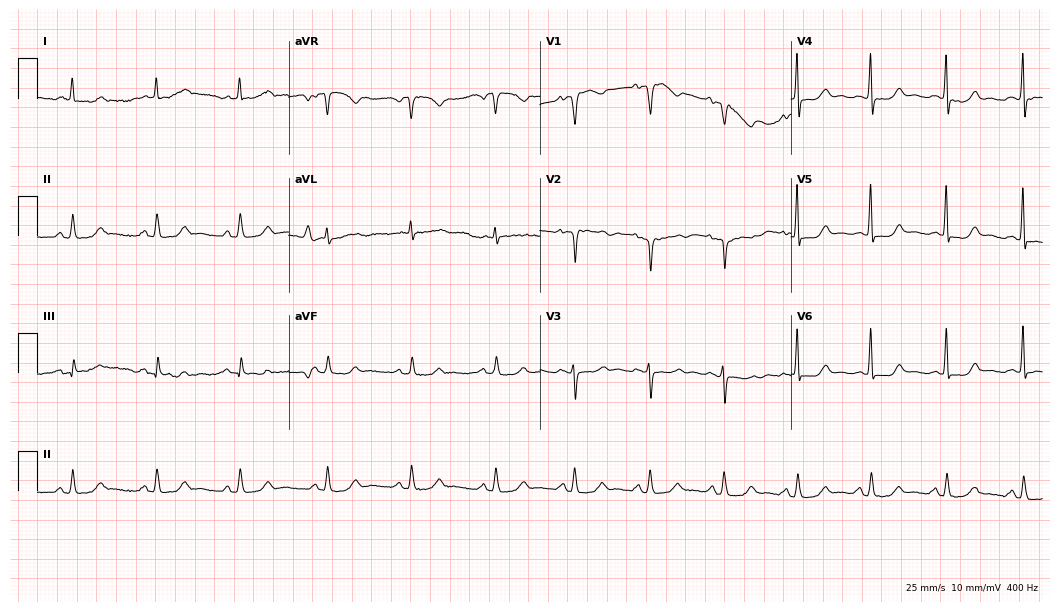
Standard 12-lead ECG recorded from a woman, 72 years old. None of these six findings is recorded: first-degree AV block, right bundle branch block, left bundle branch block, sinus bradycardia, atrial fibrillation, sinus tachycardia. Only these six findings were labelled.